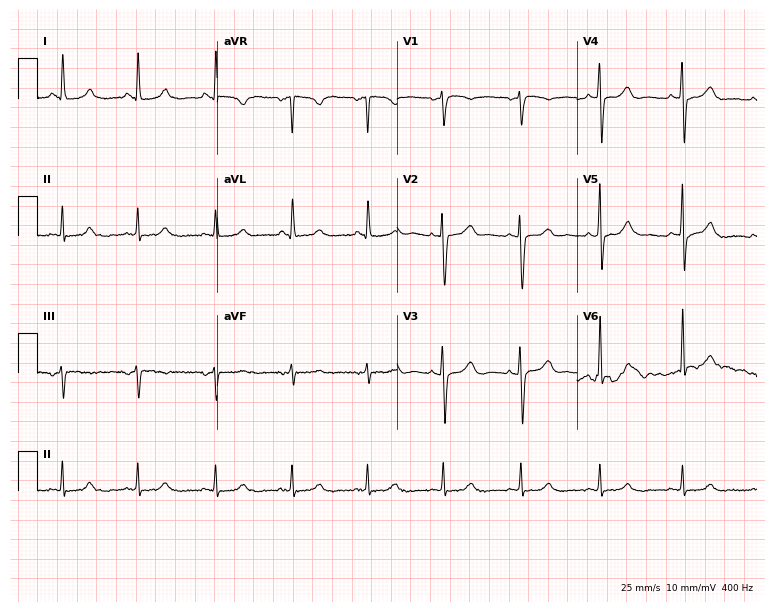
ECG (7.3-second recording at 400 Hz) — a 50-year-old woman. Labelled as a normal ECG.